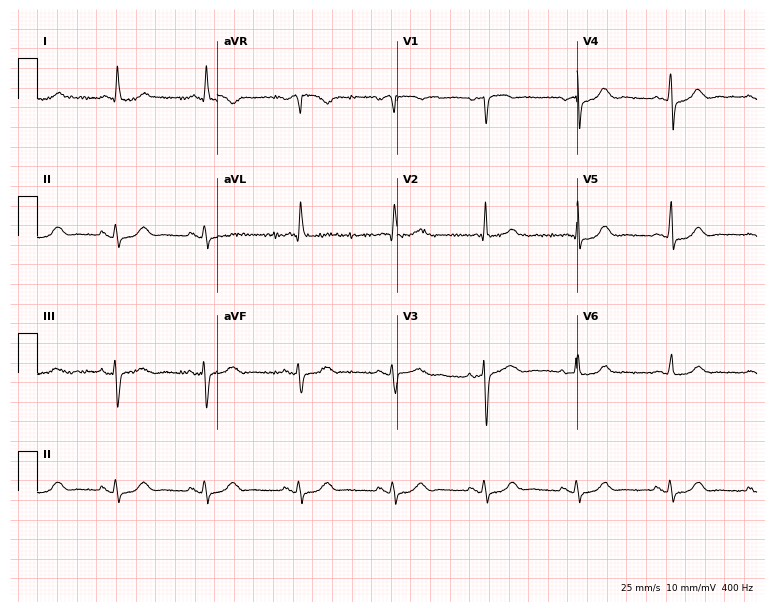
12-lead ECG (7.3-second recording at 400 Hz) from a female patient, 79 years old. Labelled as a normal ECG.